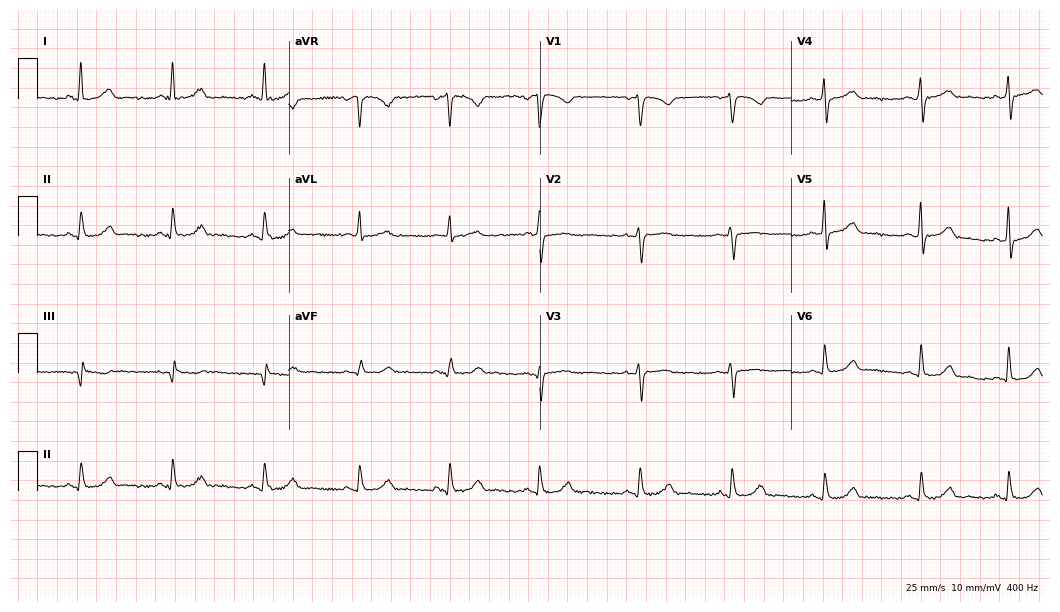
12-lead ECG from a 45-year-old woman. Recorded interpretation: within normal limits.